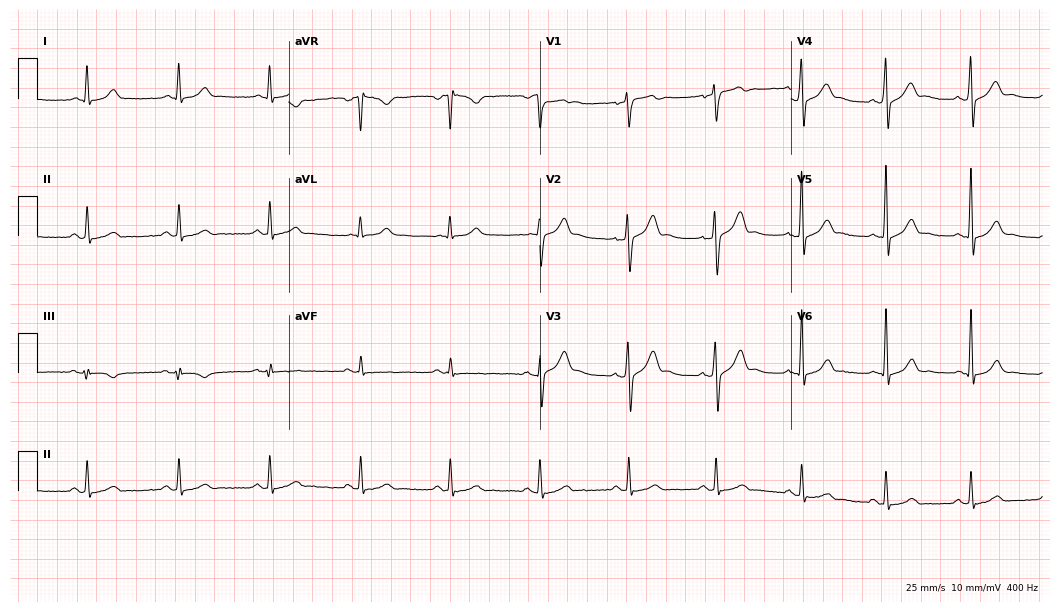
ECG — a male, 46 years old. Screened for six findings — first-degree AV block, right bundle branch block (RBBB), left bundle branch block (LBBB), sinus bradycardia, atrial fibrillation (AF), sinus tachycardia — none is recorded. Only these six findings were labelled.